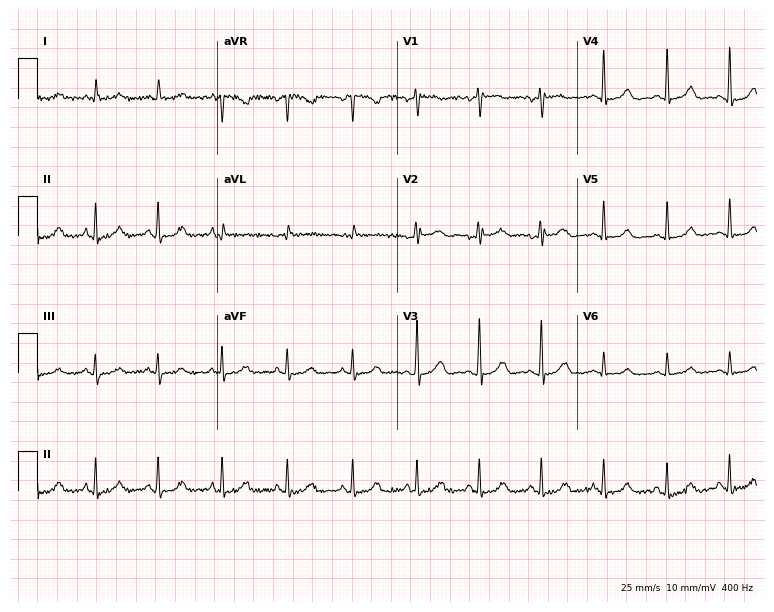
12-lead ECG (7.3-second recording at 400 Hz) from a 49-year-old female patient. Labelled as a normal ECG.